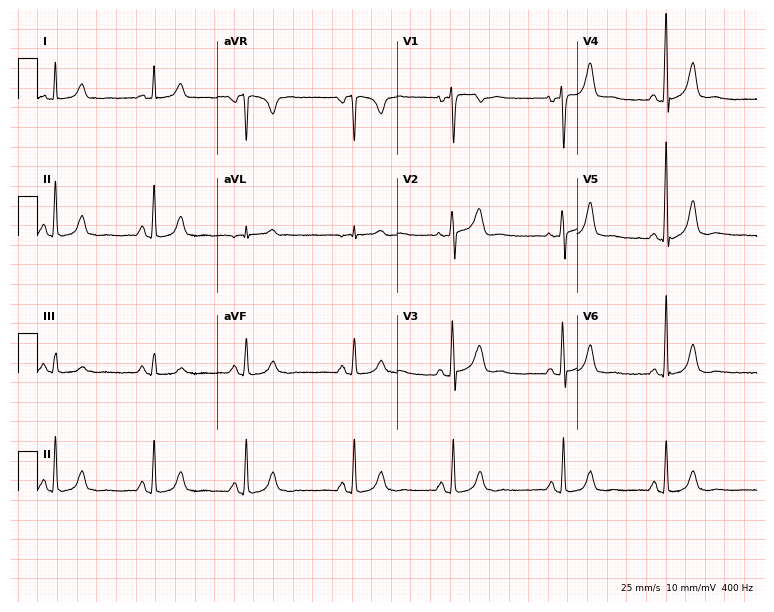
Electrocardiogram (7.3-second recording at 400 Hz), a 37-year-old woman. Overall reading on record: normal ECG.